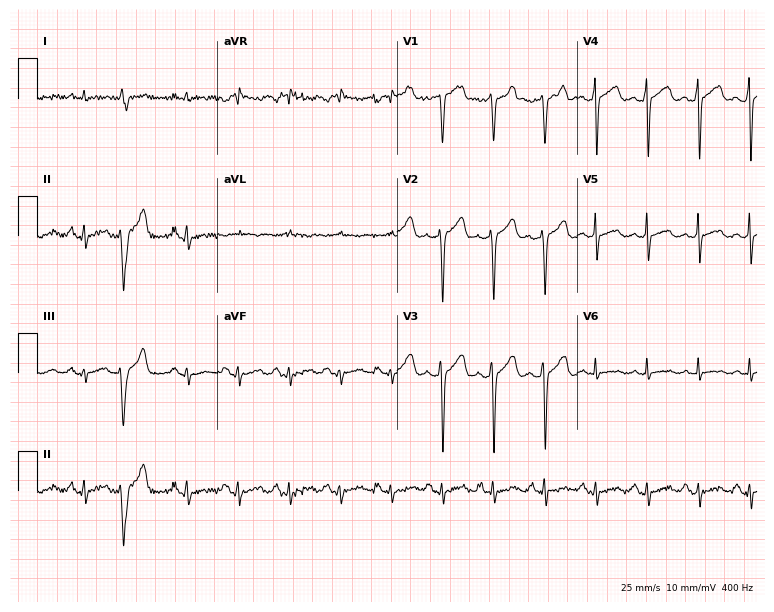
Electrocardiogram, a 67-year-old man. Interpretation includes sinus tachycardia (a sinus rate of 100 beats per minute or more).